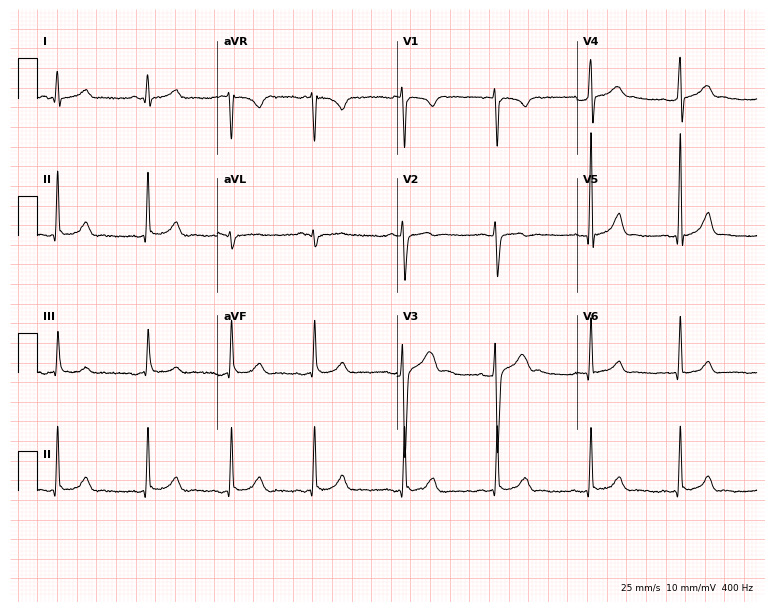
ECG — a 26-year-old male patient. Labelled as a normal ECG.